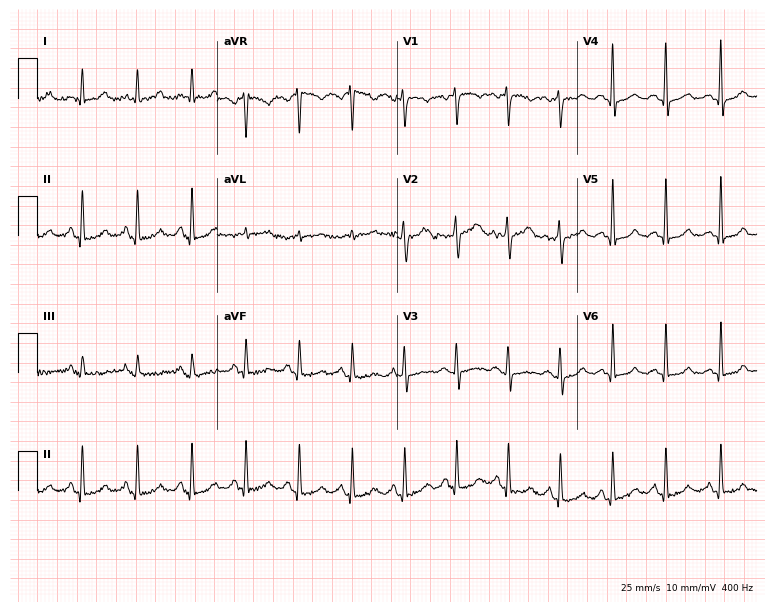
Resting 12-lead electrocardiogram. Patient: a 42-year-old woman. The tracing shows sinus tachycardia (a sinus rate of 100 beats per minute or more).